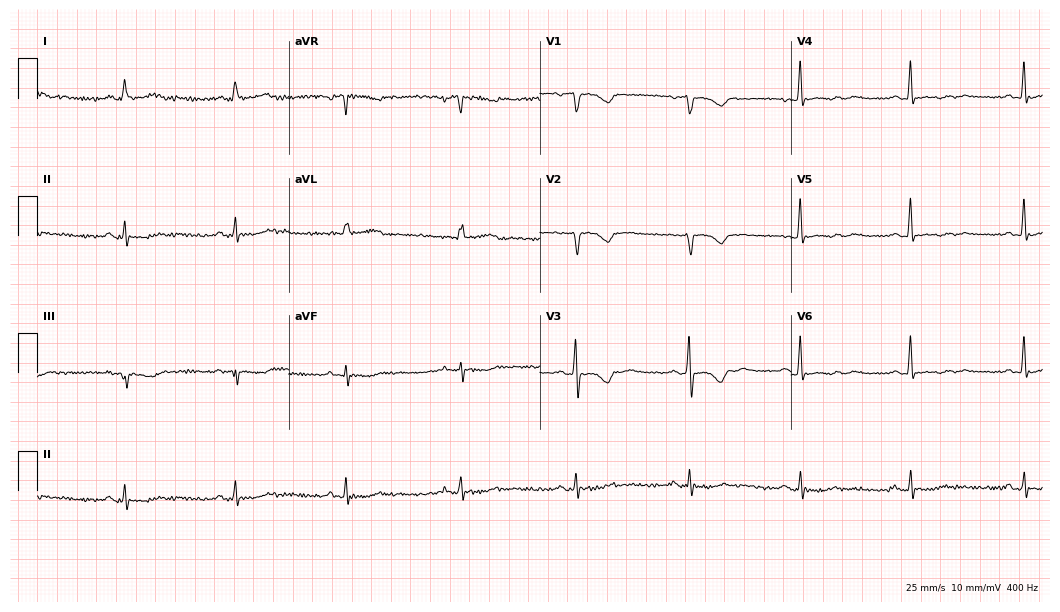
Resting 12-lead electrocardiogram (10.2-second recording at 400 Hz). Patient: a 63-year-old female. None of these six findings is recorded: first-degree AV block, right bundle branch block, left bundle branch block, sinus bradycardia, atrial fibrillation, sinus tachycardia.